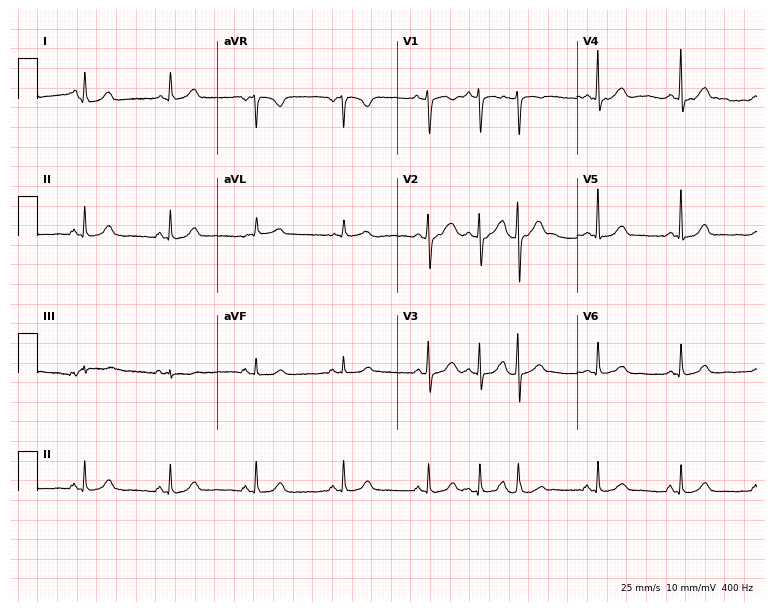
Resting 12-lead electrocardiogram (7.3-second recording at 400 Hz). Patient: a 44-year-old woman. Read as a normal ECG.